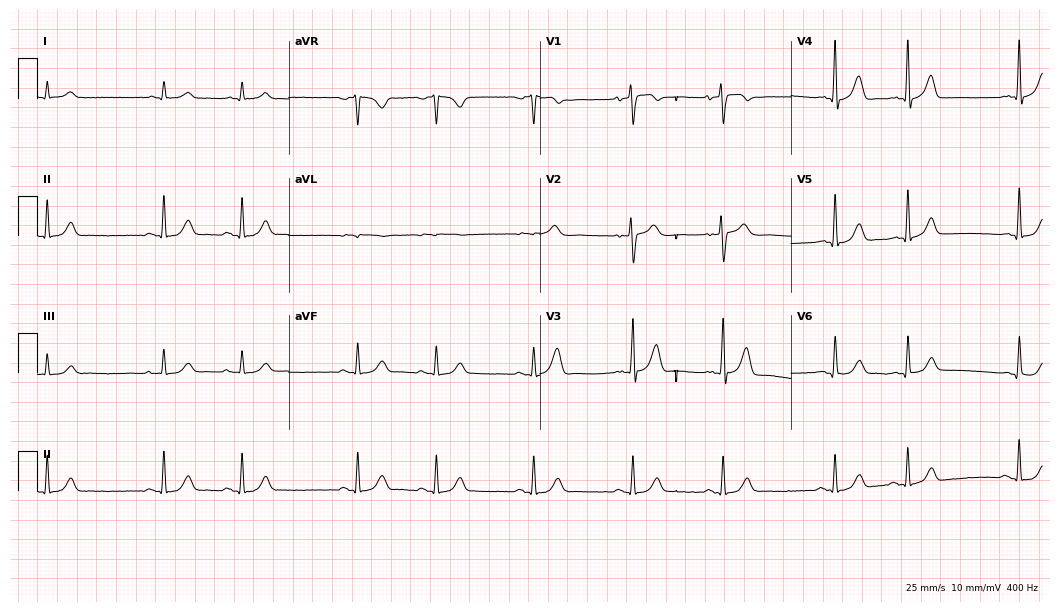
Electrocardiogram, a male, 82 years old. Of the six screened findings (first-degree AV block, right bundle branch block, left bundle branch block, sinus bradycardia, atrial fibrillation, sinus tachycardia), none is recorded. Other findings, if any, are not listed.